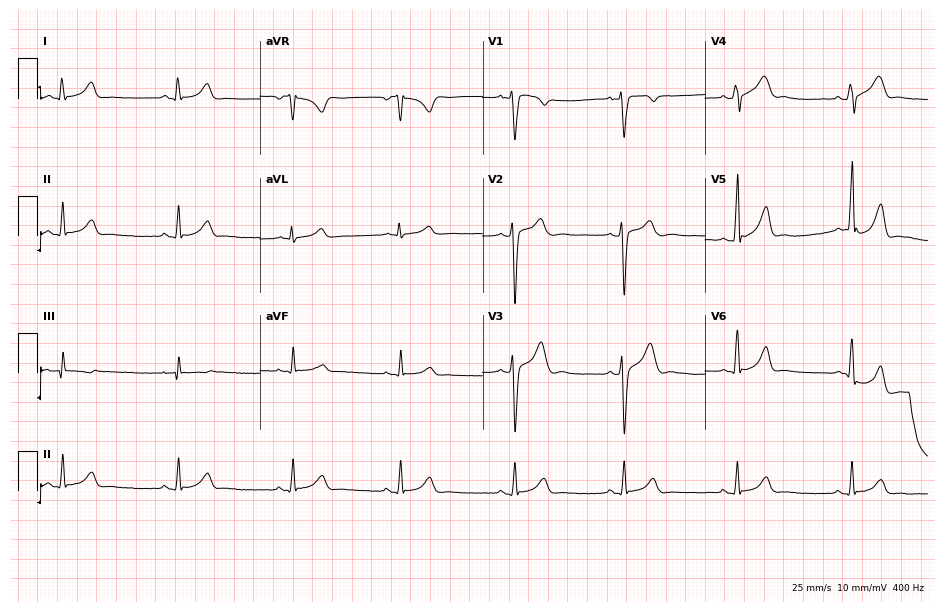
12-lead ECG from a male patient, 23 years old (9.1-second recording at 400 Hz). Recorded interpretation: within normal limits.